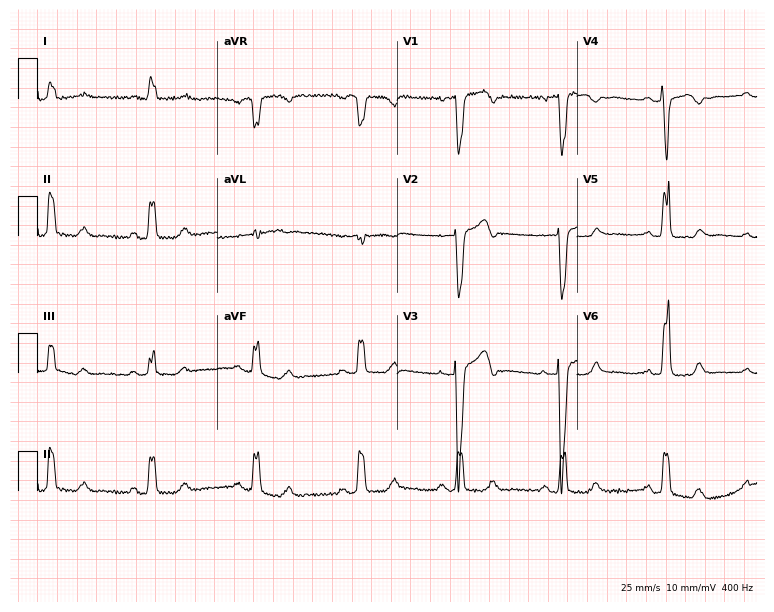
ECG — a 53-year-old woman. Findings include left bundle branch block.